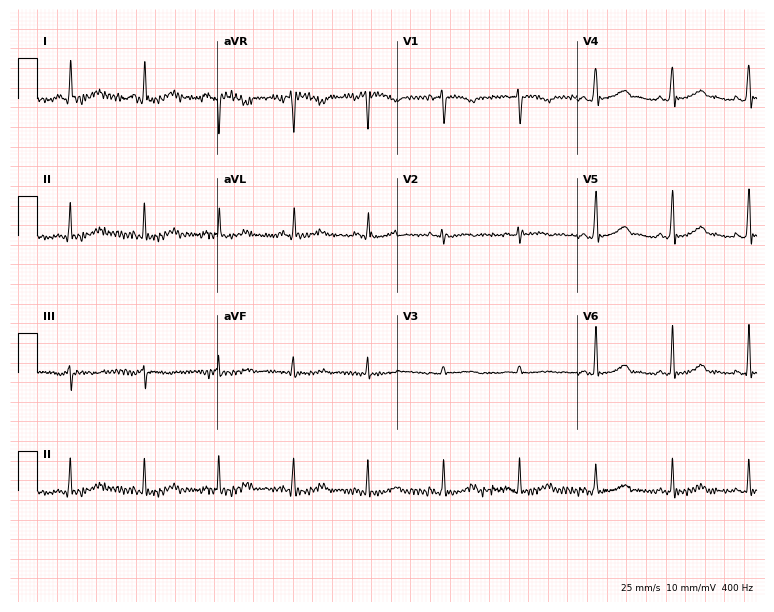
12-lead ECG from a woman, 59 years old. Screened for six findings — first-degree AV block, right bundle branch block, left bundle branch block, sinus bradycardia, atrial fibrillation, sinus tachycardia — none is recorded.